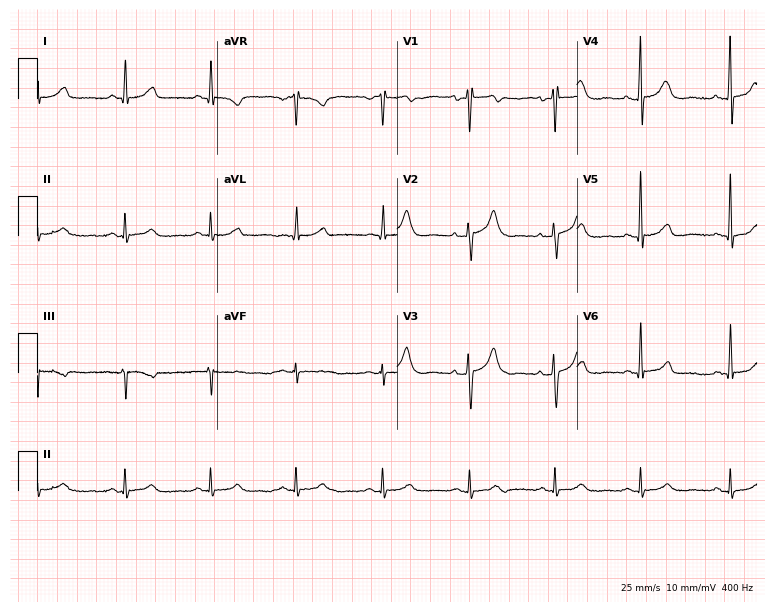
12-lead ECG (7.3-second recording at 400 Hz) from a female patient, 56 years old. Screened for six findings — first-degree AV block, right bundle branch block, left bundle branch block, sinus bradycardia, atrial fibrillation, sinus tachycardia — none is recorded. Findings outside these six are not listed.